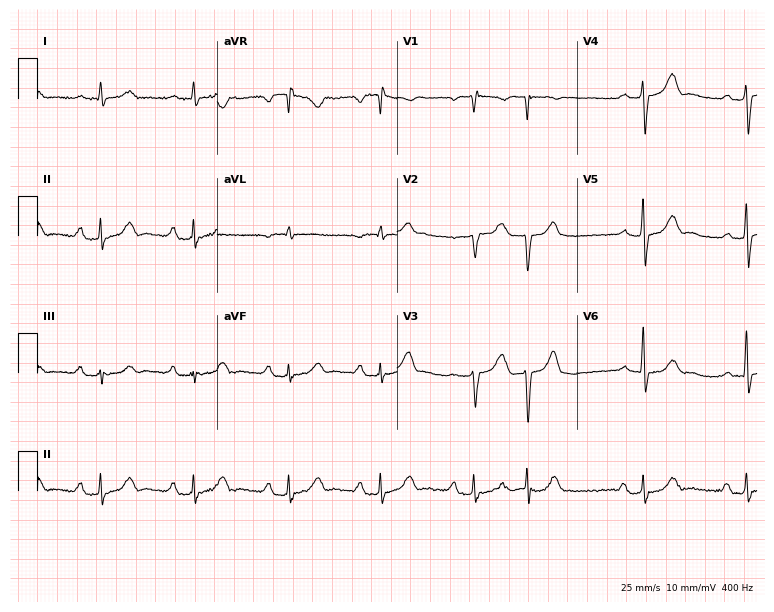
12-lead ECG from a man, 79 years old (7.3-second recording at 400 Hz). No first-degree AV block, right bundle branch block, left bundle branch block, sinus bradycardia, atrial fibrillation or sinus tachycardia recorded for this tracing. Only these six findings were labelled.